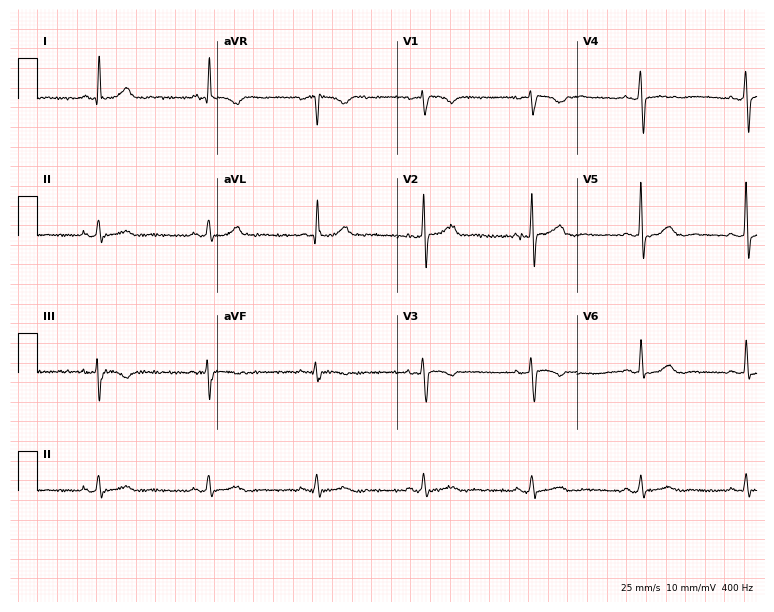
Electrocardiogram, a 53-year-old female. Of the six screened findings (first-degree AV block, right bundle branch block, left bundle branch block, sinus bradycardia, atrial fibrillation, sinus tachycardia), none is recorded. Findings outside these six are not listed.